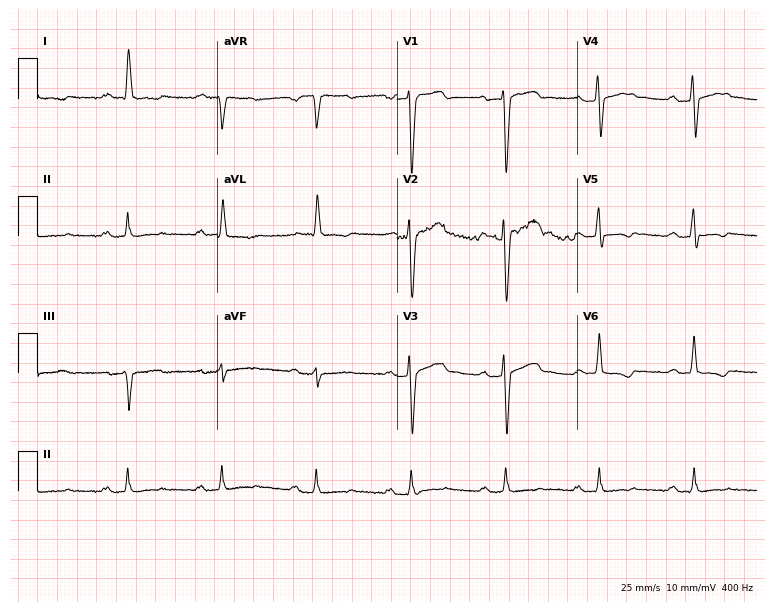
12-lead ECG from a male, 48 years old. Findings include first-degree AV block.